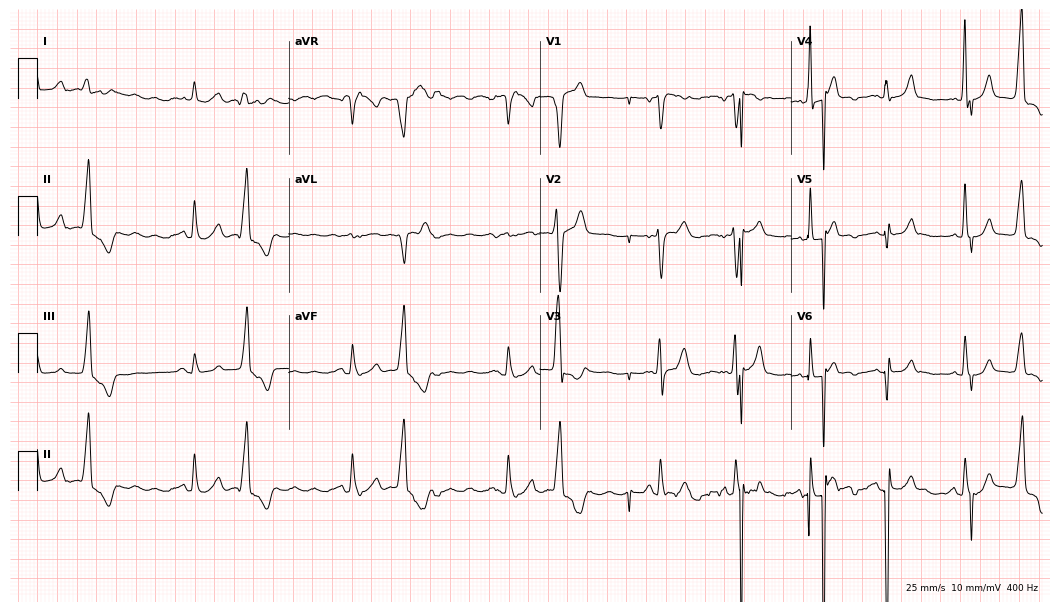
12-lead ECG from a male patient, 74 years old. Screened for six findings — first-degree AV block, right bundle branch block, left bundle branch block, sinus bradycardia, atrial fibrillation, sinus tachycardia — none is recorded.